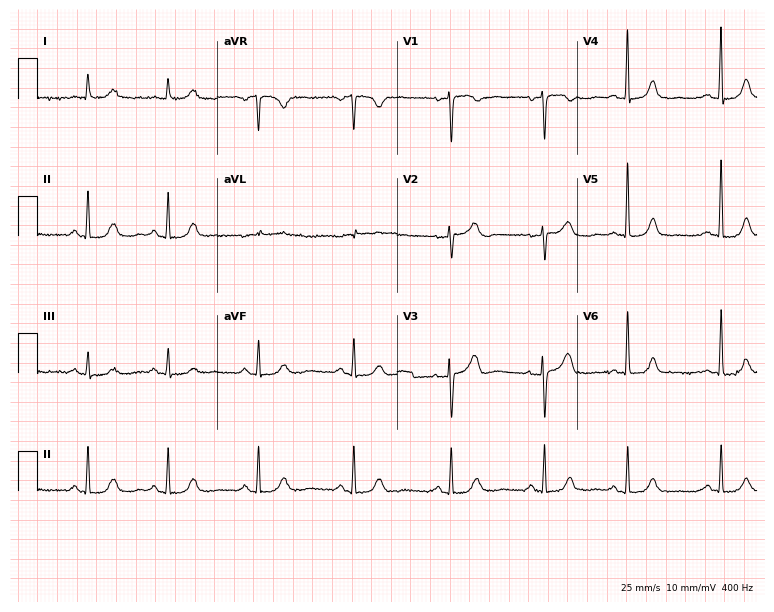
12-lead ECG (7.3-second recording at 400 Hz) from a 75-year-old female patient. Labelled as a normal ECG.